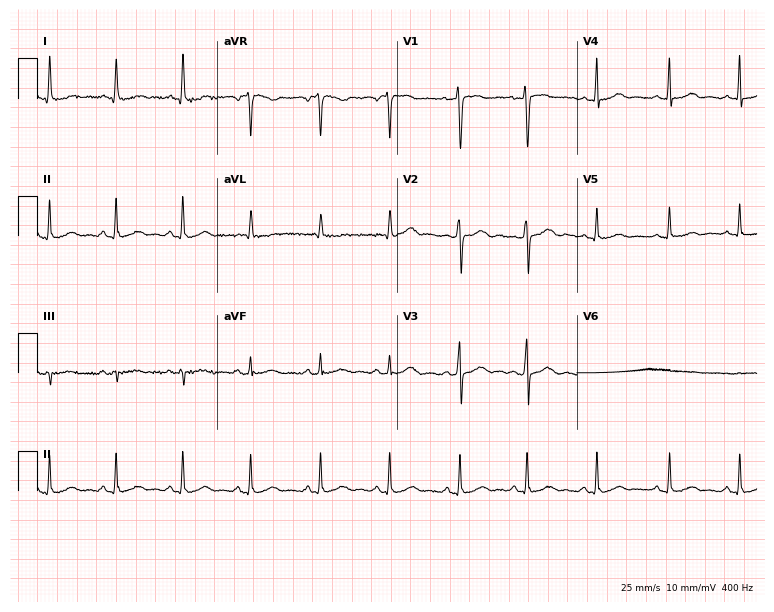
Standard 12-lead ECG recorded from a 34-year-old female. Read as a normal ECG.